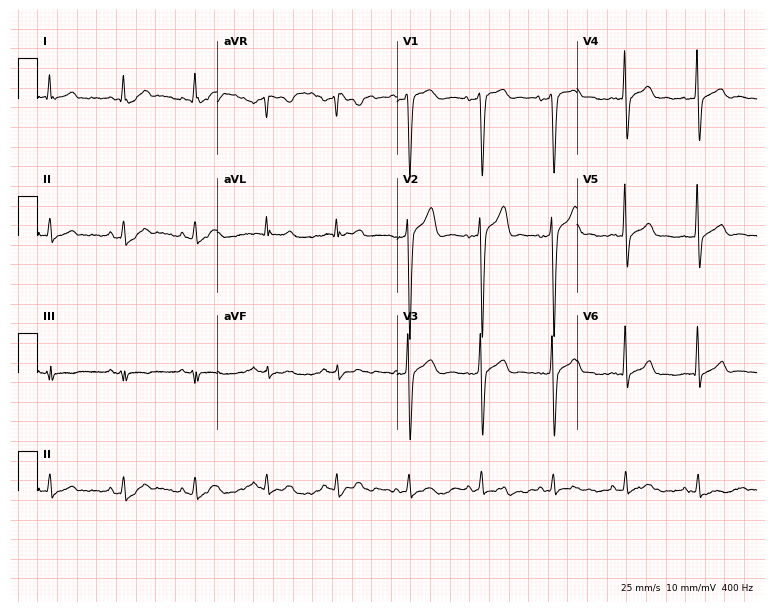
Electrocardiogram (7.3-second recording at 400 Hz), a man, 36 years old. Of the six screened findings (first-degree AV block, right bundle branch block, left bundle branch block, sinus bradycardia, atrial fibrillation, sinus tachycardia), none is recorded.